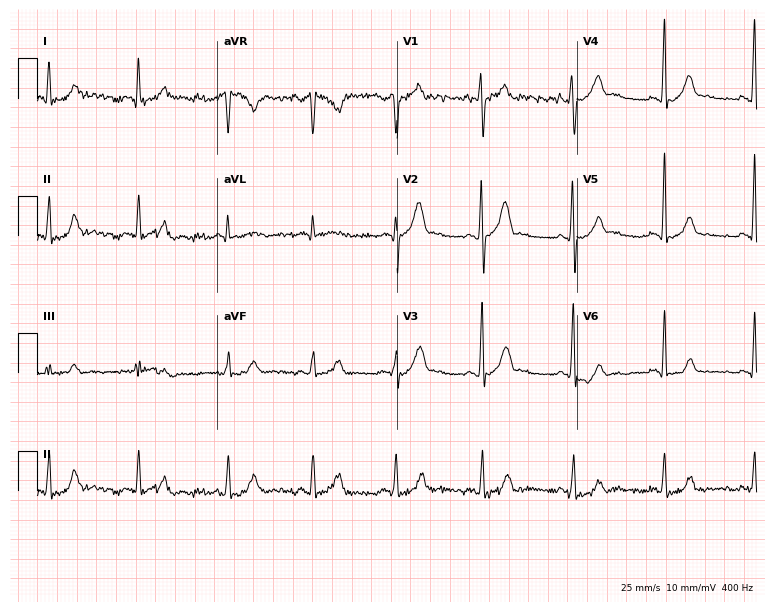
Resting 12-lead electrocardiogram. Patient: a 27-year-old man. None of these six findings is recorded: first-degree AV block, right bundle branch block (RBBB), left bundle branch block (LBBB), sinus bradycardia, atrial fibrillation (AF), sinus tachycardia. Only these six findings were labelled.